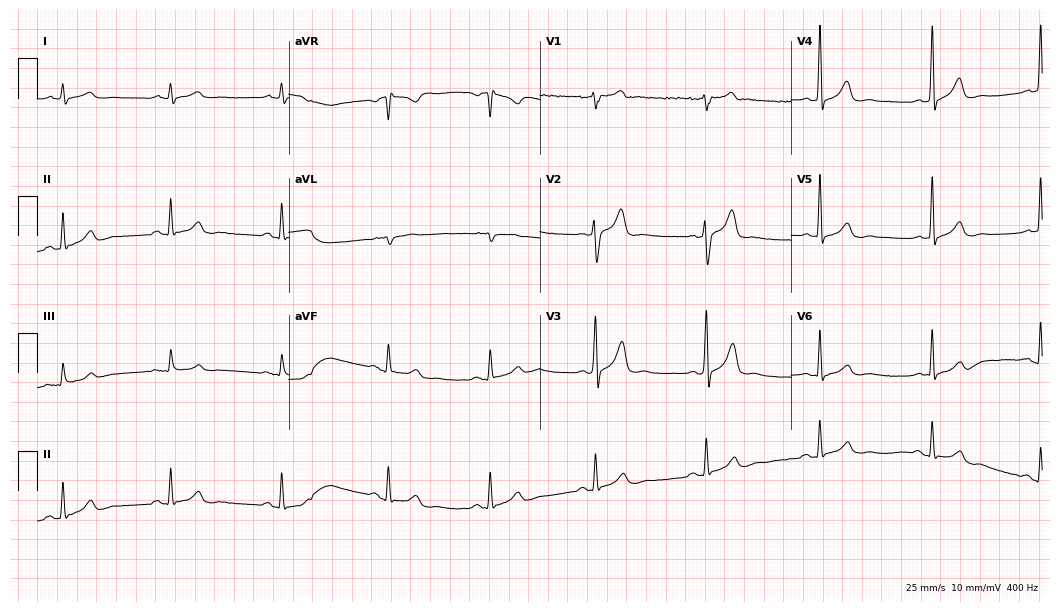
12-lead ECG from a 43-year-old male. No first-degree AV block, right bundle branch block (RBBB), left bundle branch block (LBBB), sinus bradycardia, atrial fibrillation (AF) or sinus tachycardia recorded for this tracing.